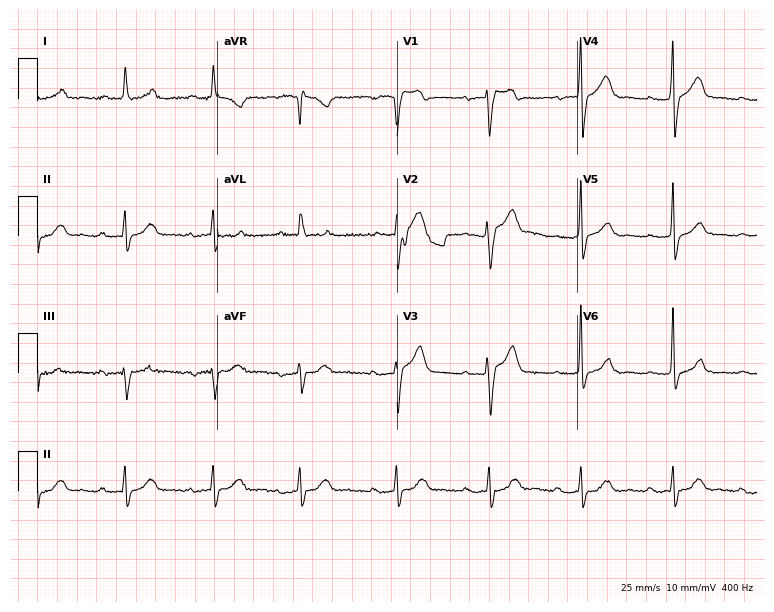
ECG — a male, 82 years old. Screened for six findings — first-degree AV block, right bundle branch block (RBBB), left bundle branch block (LBBB), sinus bradycardia, atrial fibrillation (AF), sinus tachycardia — none is recorded. Findings outside these six are not listed.